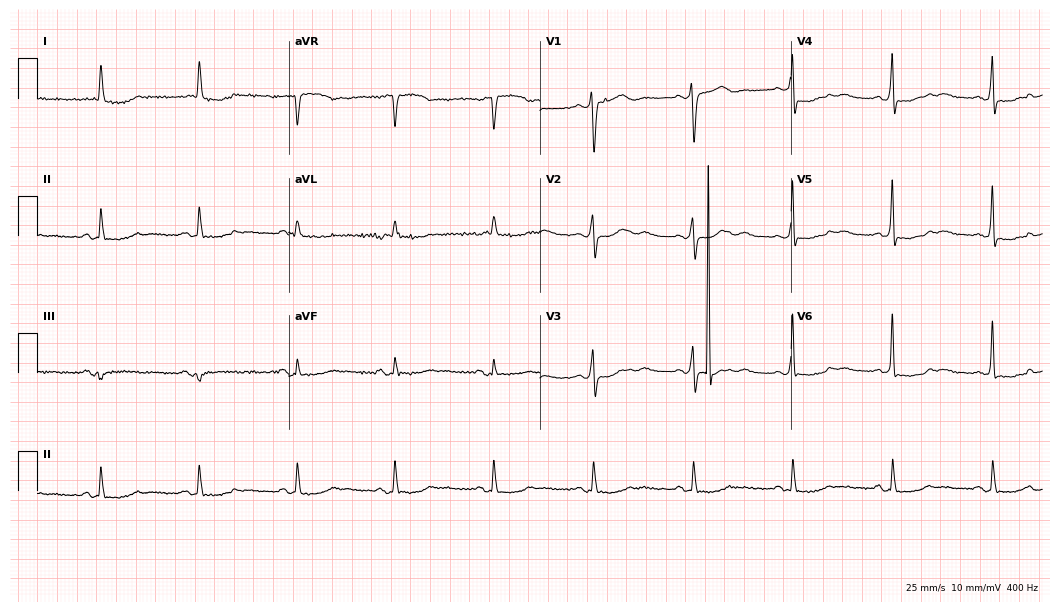
Standard 12-lead ECG recorded from a female patient, 68 years old (10.2-second recording at 400 Hz). None of these six findings is recorded: first-degree AV block, right bundle branch block (RBBB), left bundle branch block (LBBB), sinus bradycardia, atrial fibrillation (AF), sinus tachycardia. Findings outside these six are not listed.